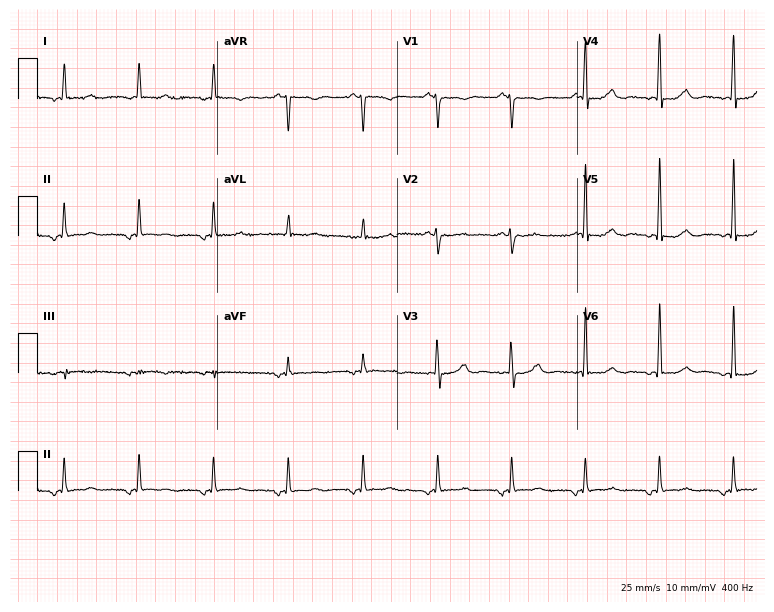
Standard 12-lead ECG recorded from a female, 72 years old. Read as a normal ECG.